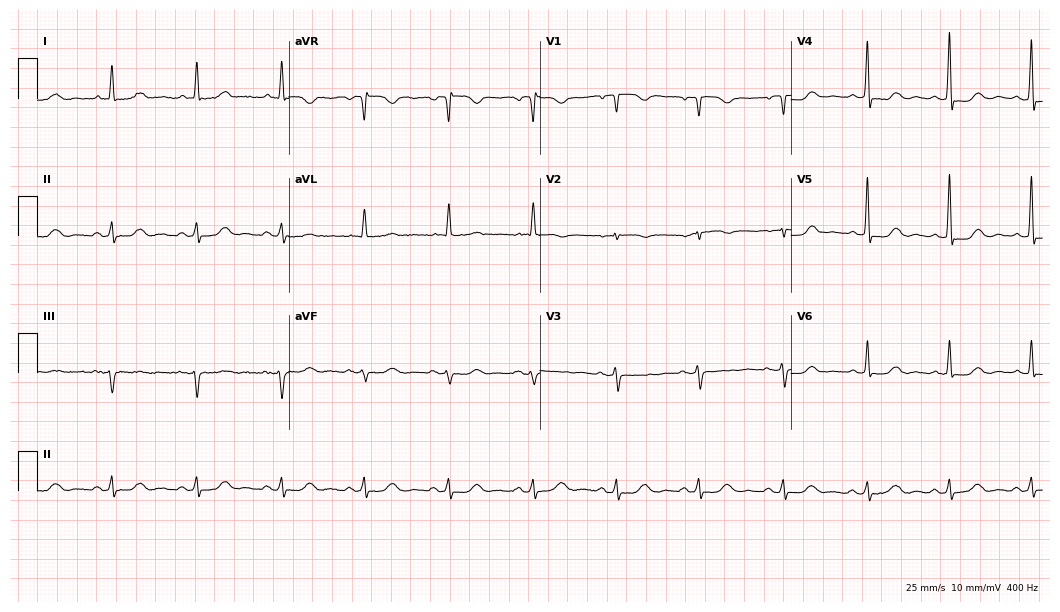
12-lead ECG from a woman, 77 years old. No first-degree AV block, right bundle branch block (RBBB), left bundle branch block (LBBB), sinus bradycardia, atrial fibrillation (AF) or sinus tachycardia recorded for this tracing.